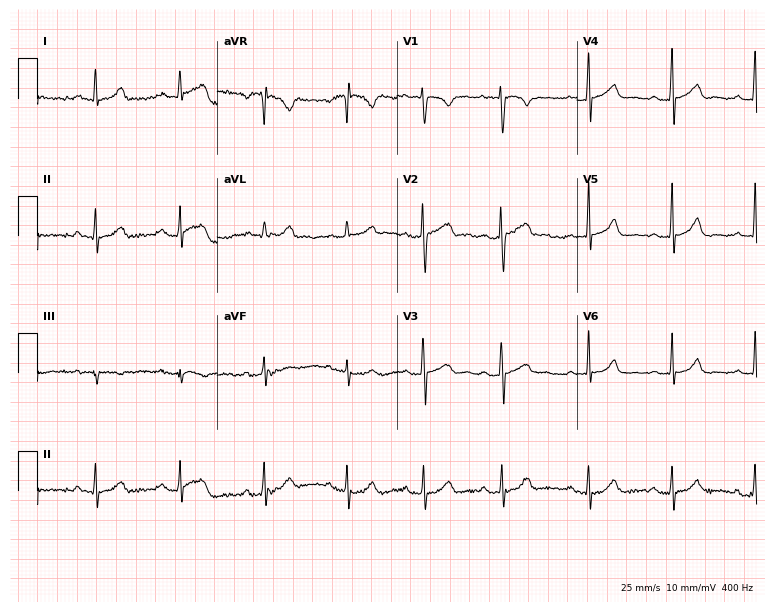
ECG — a female, 30 years old. Labelled as a normal ECG.